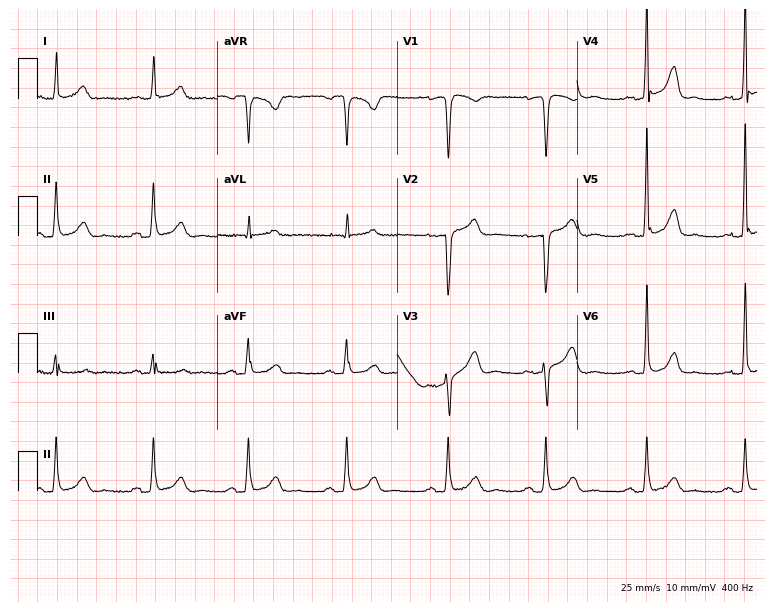
Resting 12-lead electrocardiogram. Patient: a man, 51 years old. None of these six findings is recorded: first-degree AV block, right bundle branch block, left bundle branch block, sinus bradycardia, atrial fibrillation, sinus tachycardia. Other findings, if any, are not listed.